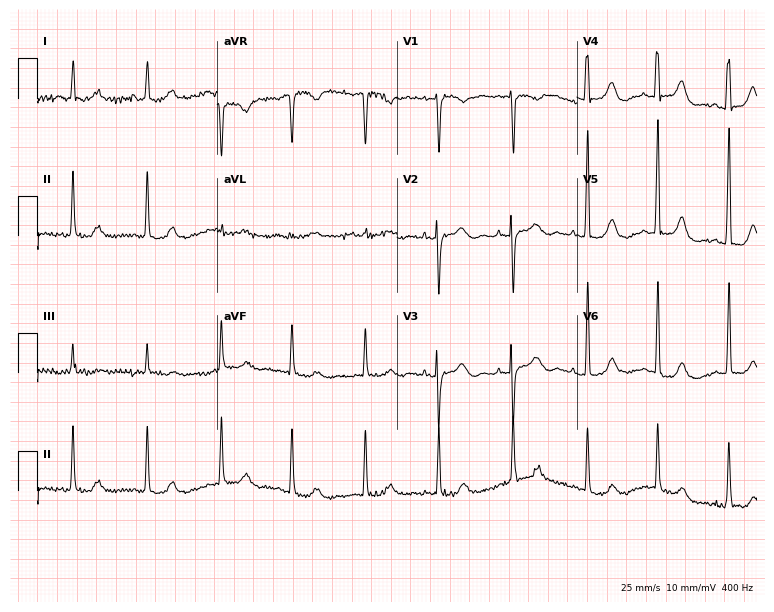
Electrocardiogram (7.3-second recording at 400 Hz), a woman, 71 years old. Of the six screened findings (first-degree AV block, right bundle branch block, left bundle branch block, sinus bradycardia, atrial fibrillation, sinus tachycardia), none is recorded. Findings outside these six are not listed.